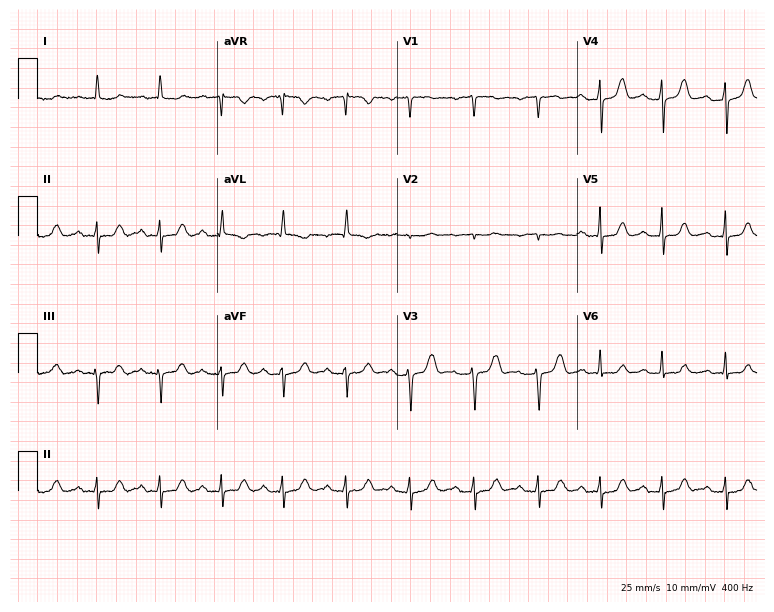
12-lead ECG from a woman, 74 years old (7.3-second recording at 400 Hz). Recorded interpretation: within normal limits.